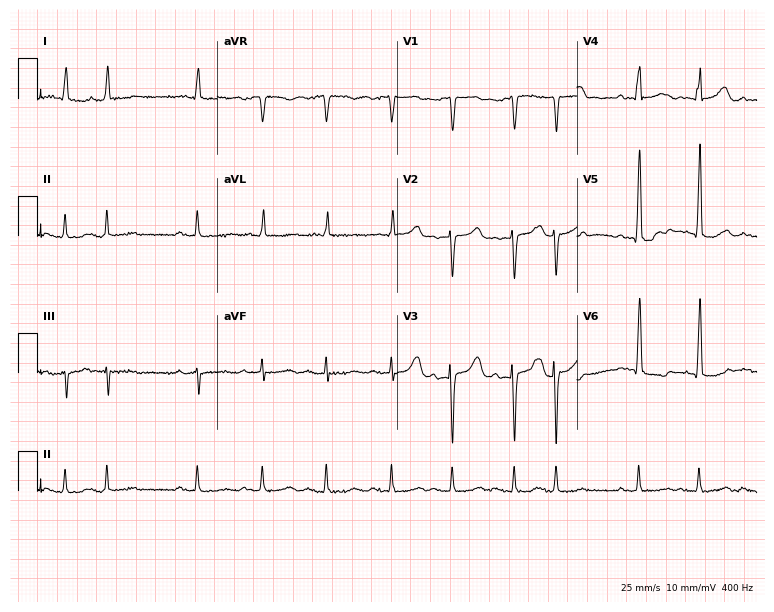
Resting 12-lead electrocardiogram. Patient: an 81-year-old male. Read as a normal ECG.